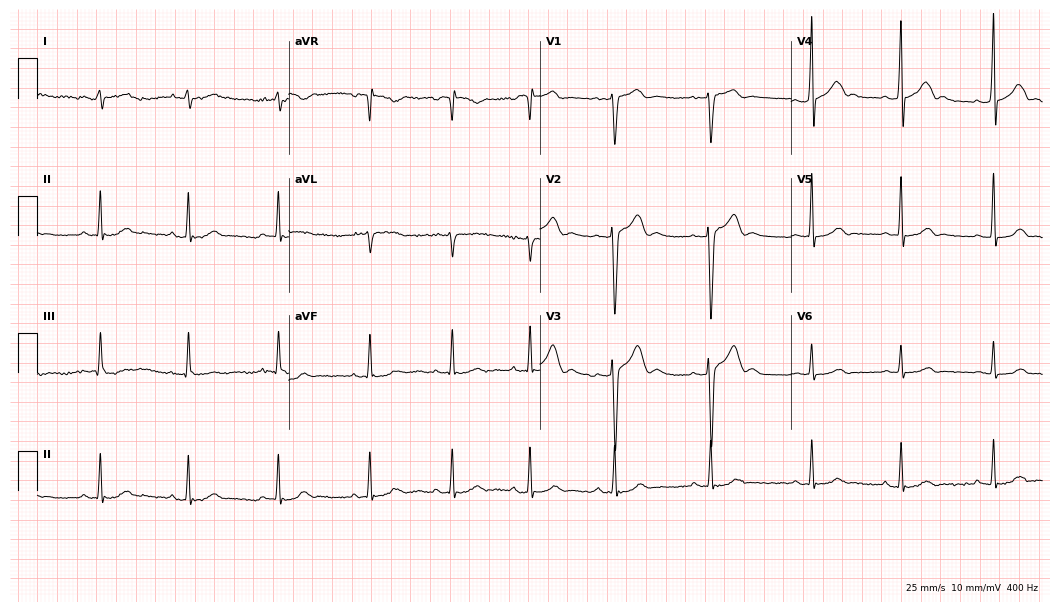
Electrocardiogram, a 19-year-old male patient. Of the six screened findings (first-degree AV block, right bundle branch block, left bundle branch block, sinus bradycardia, atrial fibrillation, sinus tachycardia), none is recorded. Findings outside these six are not listed.